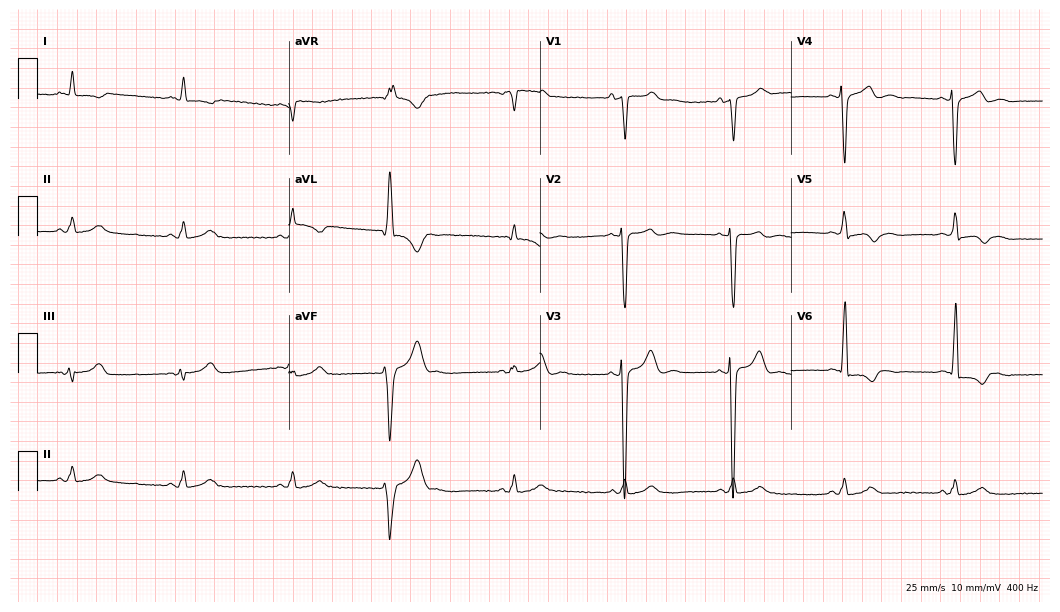
Resting 12-lead electrocardiogram (10.2-second recording at 400 Hz). Patient: a female, 77 years old. None of these six findings is recorded: first-degree AV block, right bundle branch block, left bundle branch block, sinus bradycardia, atrial fibrillation, sinus tachycardia. Findings outside these six are not listed.